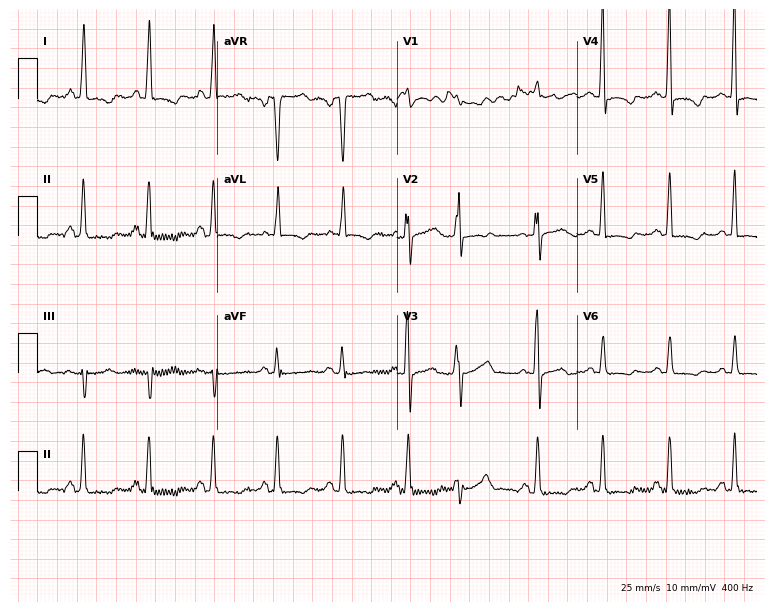
ECG — a 68-year-old female. Screened for six findings — first-degree AV block, right bundle branch block (RBBB), left bundle branch block (LBBB), sinus bradycardia, atrial fibrillation (AF), sinus tachycardia — none is recorded. Findings outside these six are not listed.